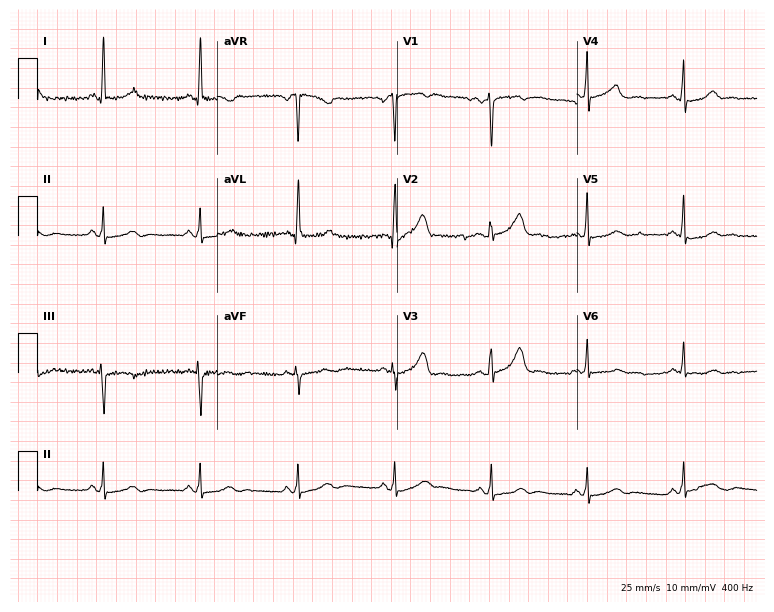
12-lead ECG (7.3-second recording at 400 Hz) from a female patient, 50 years old. Labelled as a normal ECG.